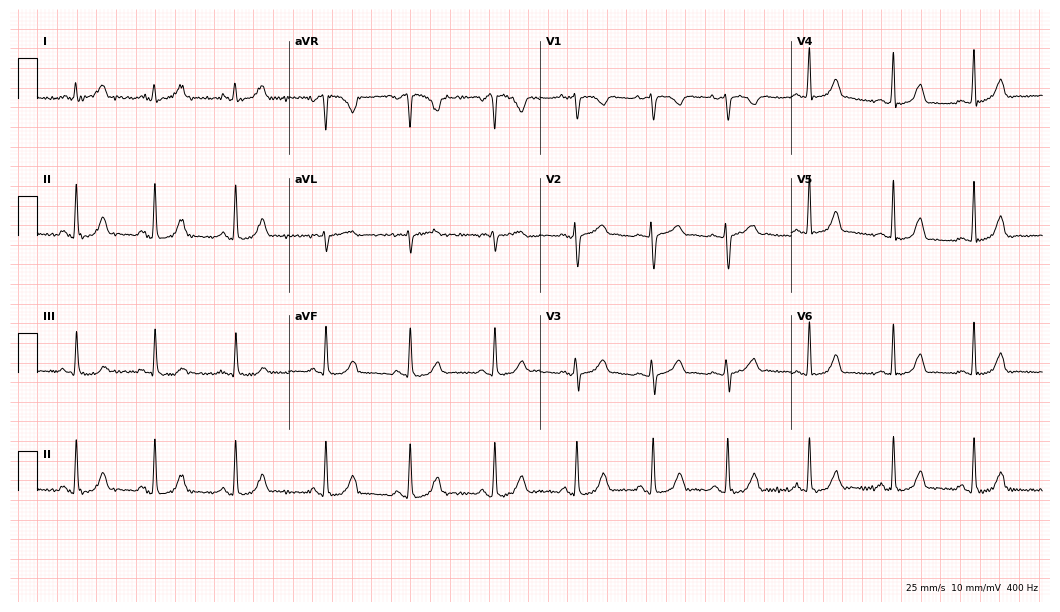
12-lead ECG (10.2-second recording at 400 Hz) from a female, 28 years old. Labelled as a normal ECG.